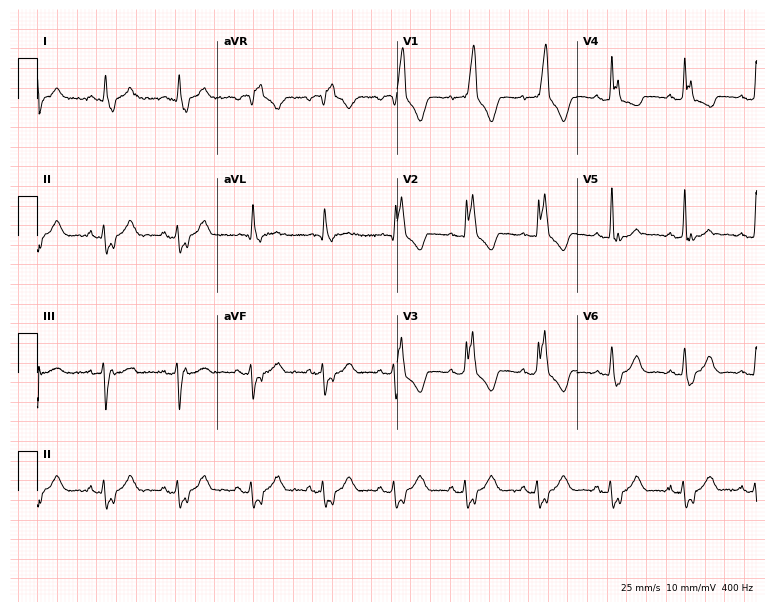
Standard 12-lead ECG recorded from a 60-year-old woman (7.3-second recording at 400 Hz). None of these six findings is recorded: first-degree AV block, right bundle branch block (RBBB), left bundle branch block (LBBB), sinus bradycardia, atrial fibrillation (AF), sinus tachycardia.